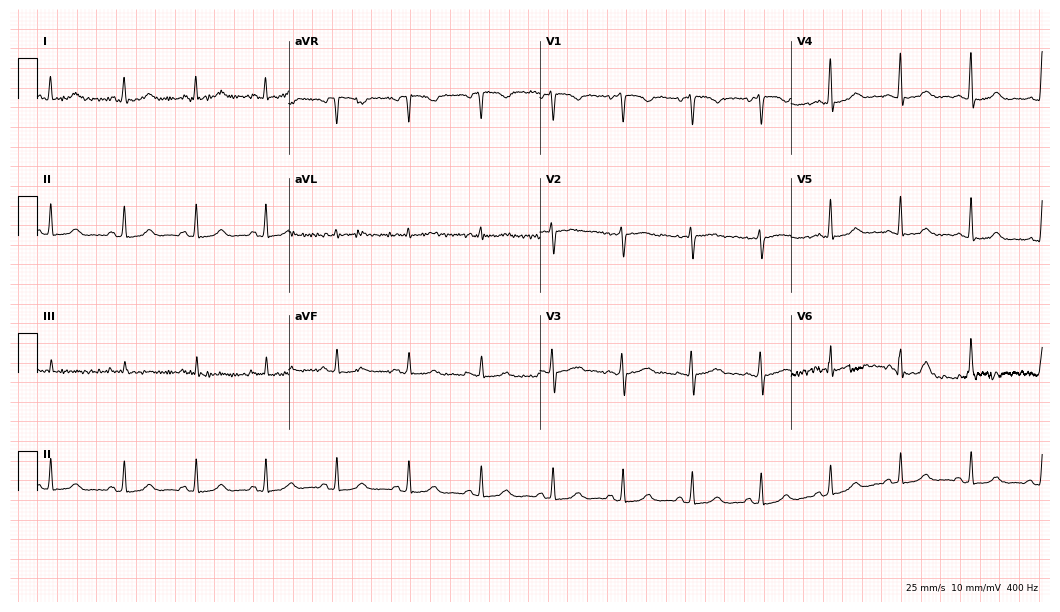
12-lead ECG (10.2-second recording at 400 Hz) from a female, 38 years old. Labelled as a normal ECG.